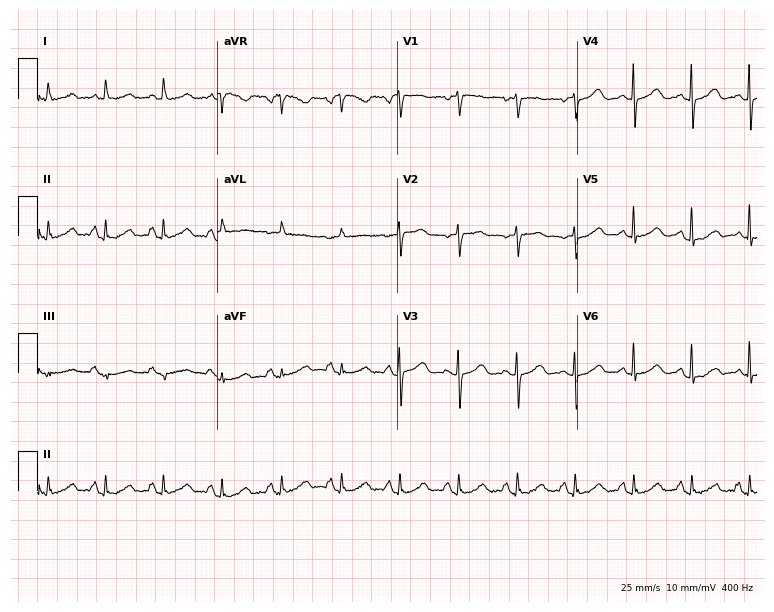
Standard 12-lead ECG recorded from a female patient, 82 years old. The tracing shows sinus tachycardia (a sinus rate of 100 beats per minute or more).